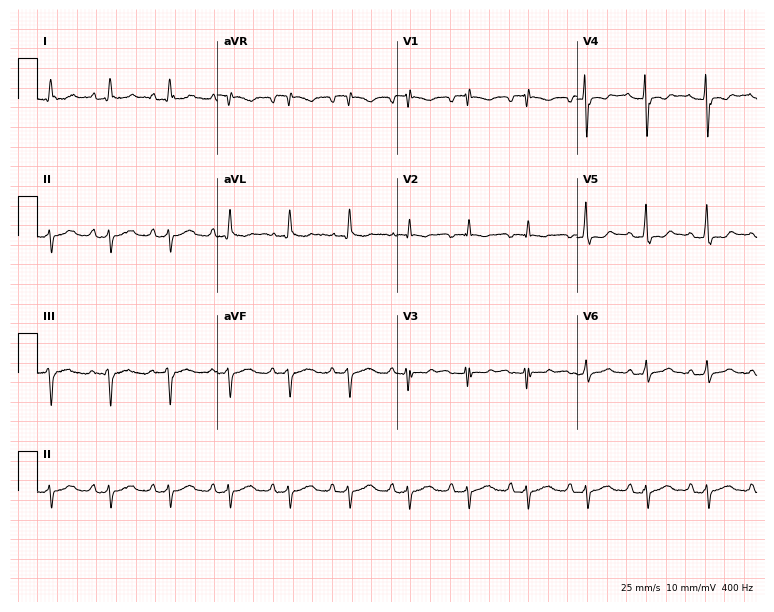
ECG — a 45-year-old female patient. Screened for six findings — first-degree AV block, right bundle branch block (RBBB), left bundle branch block (LBBB), sinus bradycardia, atrial fibrillation (AF), sinus tachycardia — none is recorded.